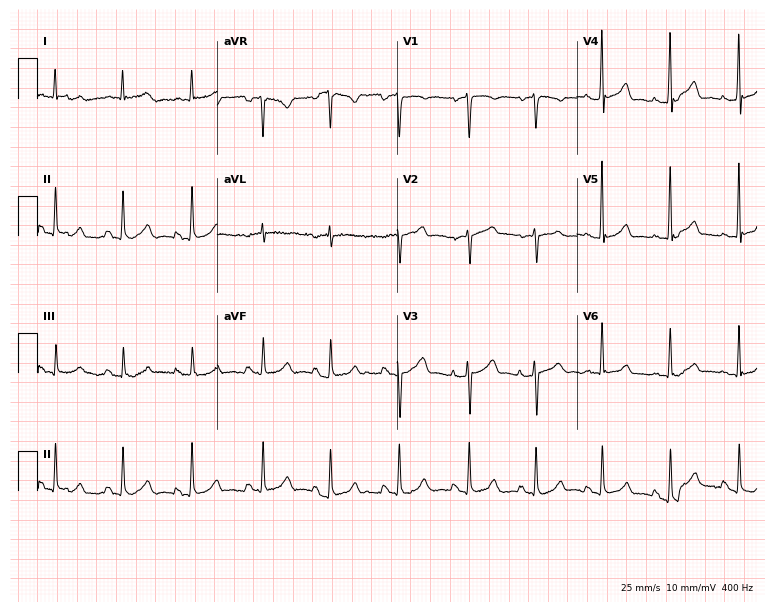
12-lead ECG (7.3-second recording at 400 Hz) from a female, 80 years old. Labelled as a normal ECG.